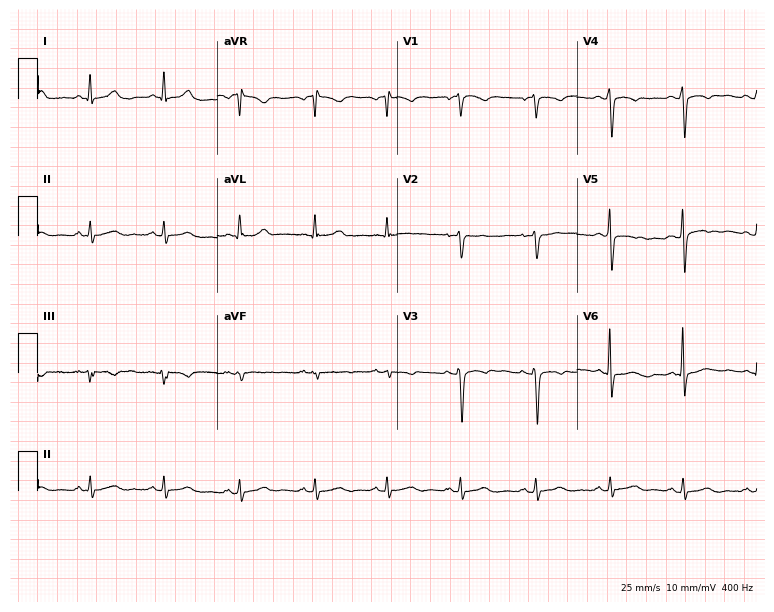
Standard 12-lead ECG recorded from a 40-year-old woman. None of these six findings is recorded: first-degree AV block, right bundle branch block, left bundle branch block, sinus bradycardia, atrial fibrillation, sinus tachycardia. Only these six findings were labelled.